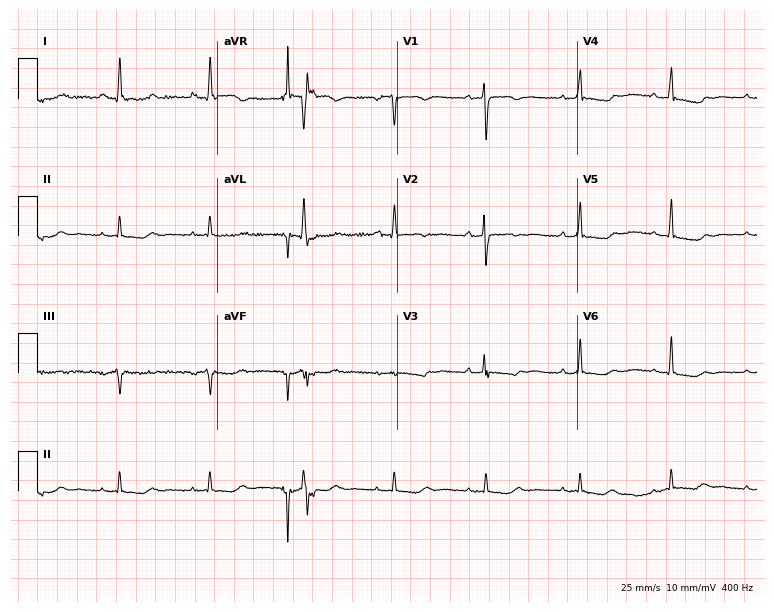
12-lead ECG from a 60-year-old female patient (7.3-second recording at 400 Hz). No first-degree AV block, right bundle branch block, left bundle branch block, sinus bradycardia, atrial fibrillation or sinus tachycardia recorded for this tracing.